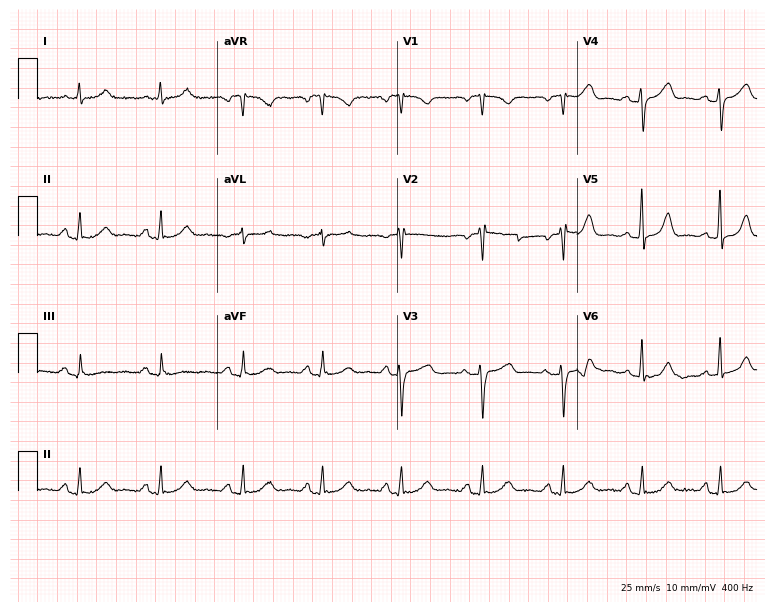
12-lead ECG from a 70-year-old female (7.3-second recording at 400 Hz). No first-degree AV block, right bundle branch block, left bundle branch block, sinus bradycardia, atrial fibrillation or sinus tachycardia recorded for this tracing.